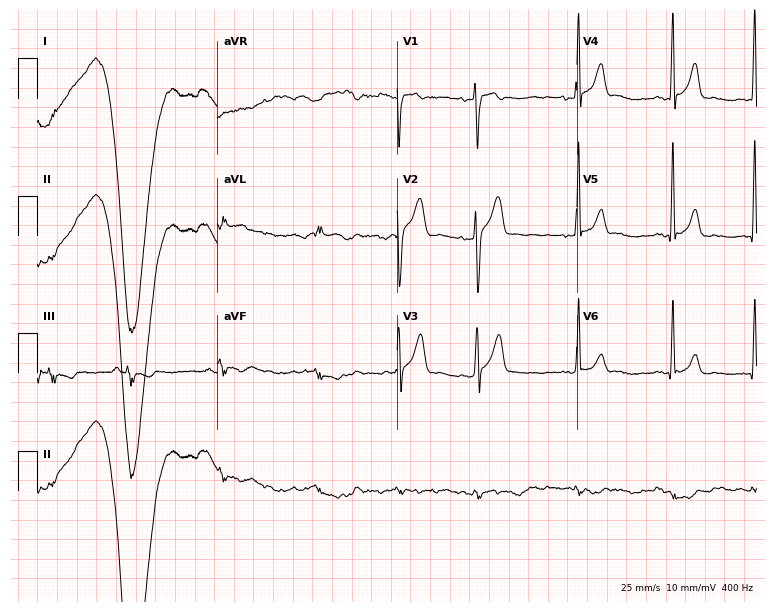
12-lead ECG (7.3-second recording at 400 Hz) from a man, 27 years old. Screened for six findings — first-degree AV block, right bundle branch block, left bundle branch block, sinus bradycardia, atrial fibrillation, sinus tachycardia — none is recorded.